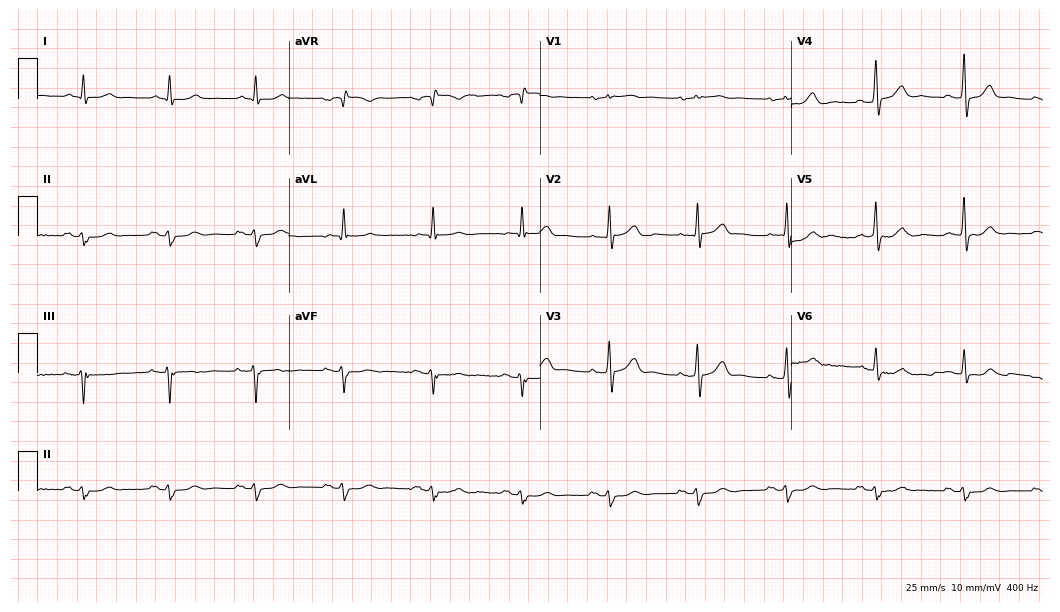
Resting 12-lead electrocardiogram (10.2-second recording at 400 Hz). Patient: a man, 75 years old. None of these six findings is recorded: first-degree AV block, right bundle branch block, left bundle branch block, sinus bradycardia, atrial fibrillation, sinus tachycardia. Findings outside these six are not listed.